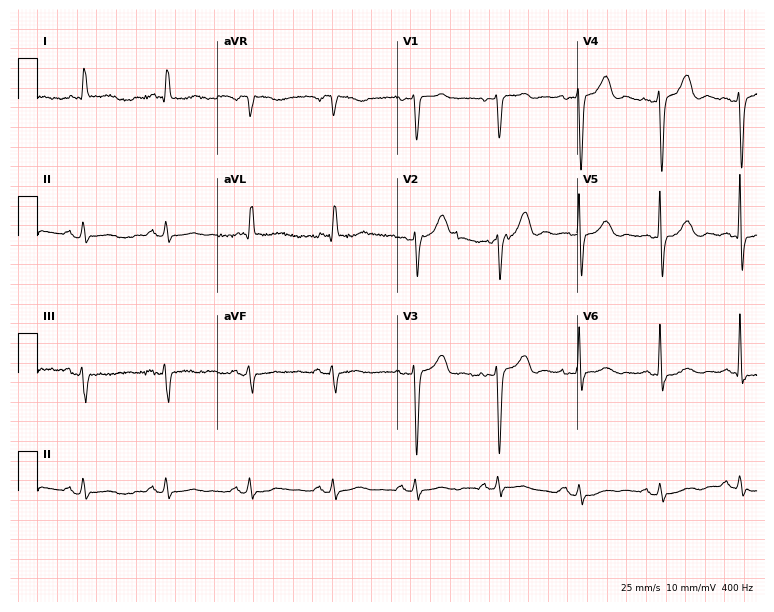
ECG — a female patient, 66 years old. Labelled as a normal ECG.